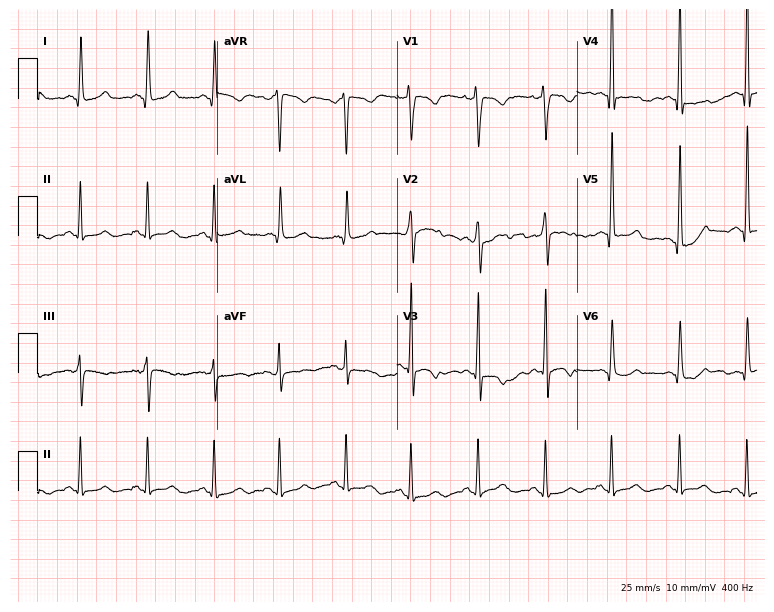
12-lead ECG from a woman, 19 years old. Recorded interpretation: within normal limits.